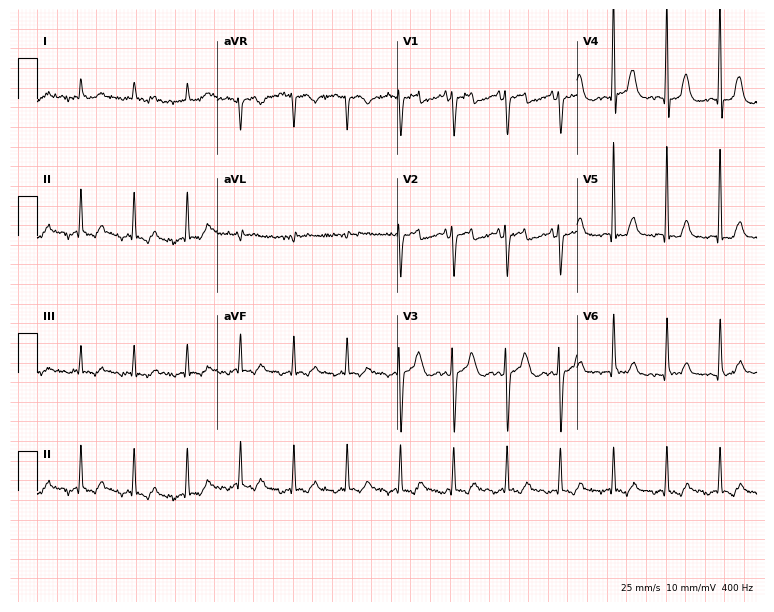
12-lead ECG from a male, 74 years old. Screened for six findings — first-degree AV block, right bundle branch block, left bundle branch block, sinus bradycardia, atrial fibrillation, sinus tachycardia — none is recorded.